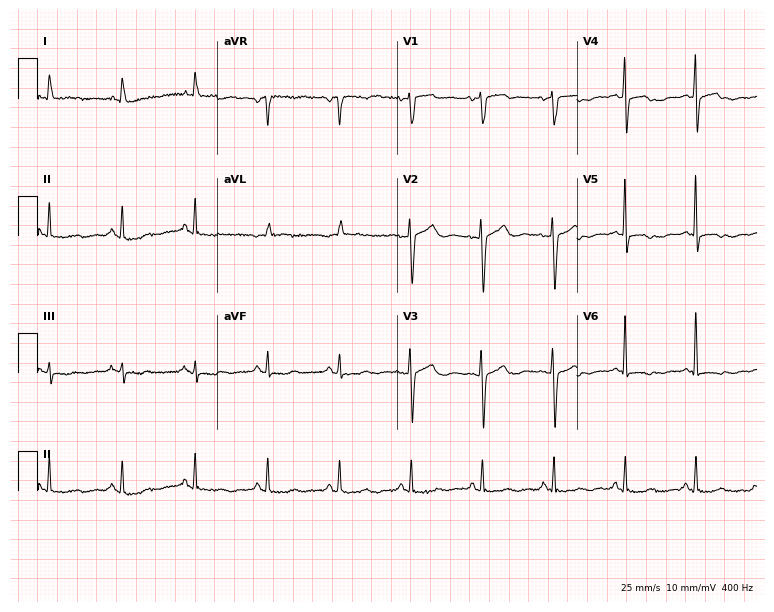
12-lead ECG from a 76-year-old female (7.3-second recording at 400 Hz). No first-degree AV block, right bundle branch block (RBBB), left bundle branch block (LBBB), sinus bradycardia, atrial fibrillation (AF) or sinus tachycardia recorded for this tracing.